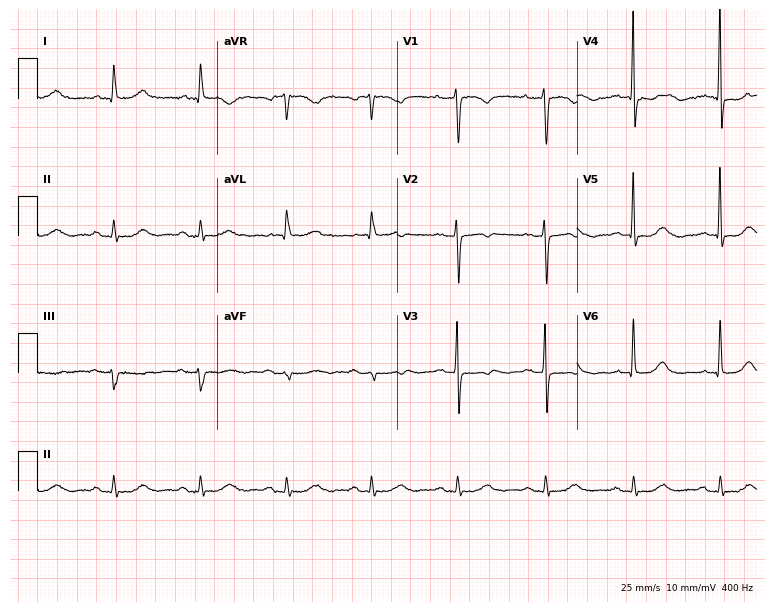
ECG — a female, 63 years old. Screened for six findings — first-degree AV block, right bundle branch block (RBBB), left bundle branch block (LBBB), sinus bradycardia, atrial fibrillation (AF), sinus tachycardia — none is recorded. Findings outside these six are not listed.